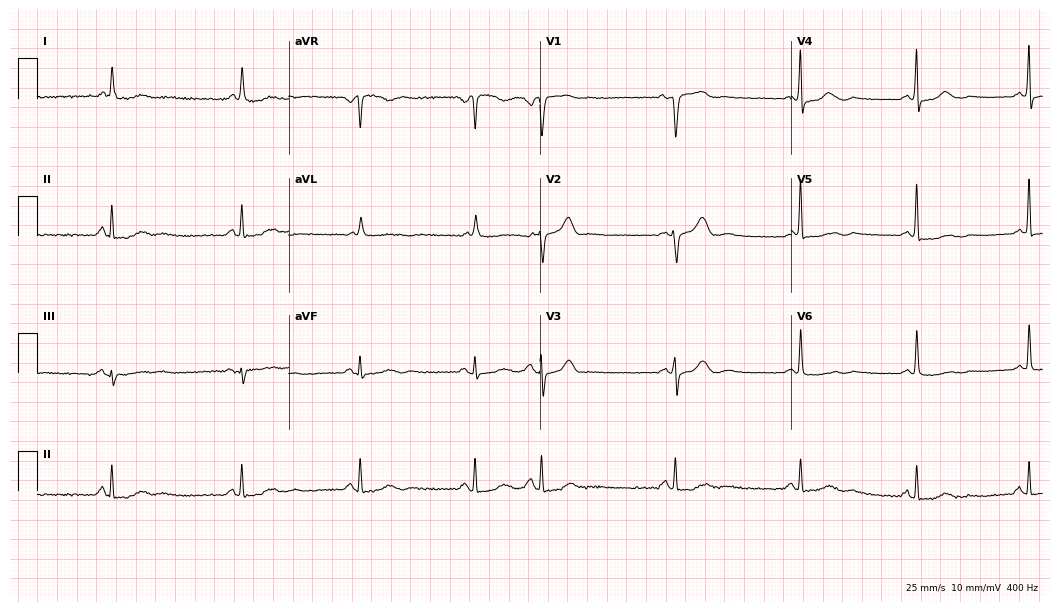
Electrocardiogram (10.2-second recording at 400 Hz), a 67-year-old female patient. Of the six screened findings (first-degree AV block, right bundle branch block, left bundle branch block, sinus bradycardia, atrial fibrillation, sinus tachycardia), none is recorded. Only these six findings were labelled.